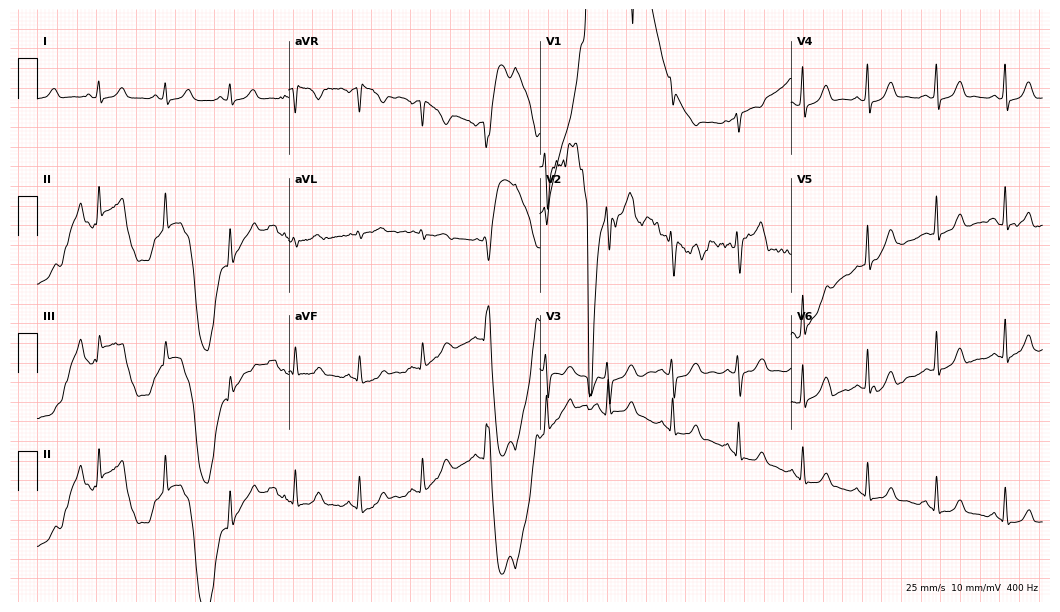
Standard 12-lead ECG recorded from a woman, 20 years old (10.2-second recording at 400 Hz). Read as a normal ECG.